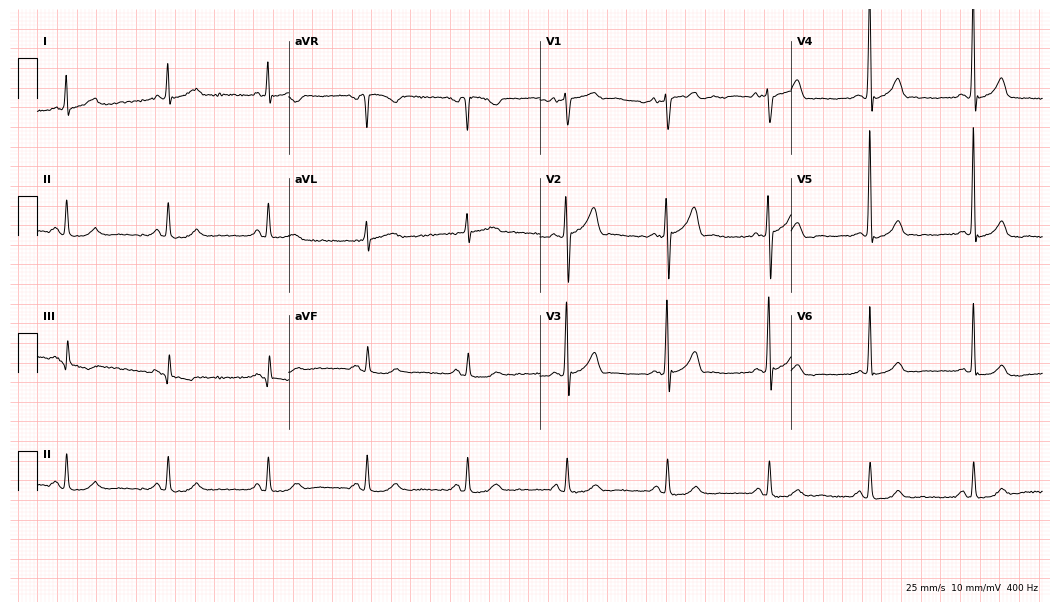
Resting 12-lead electrocardiogram. Patient: a 60-year-old male. Read as a normal ECG.